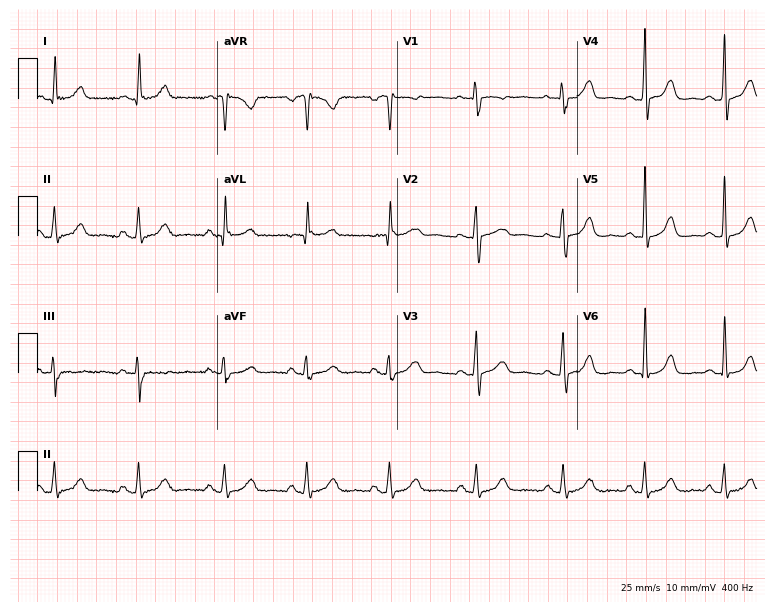
Resting 12-lead electrocardiogram. Patient: a 48-year-old female. Read as a normal ECG.